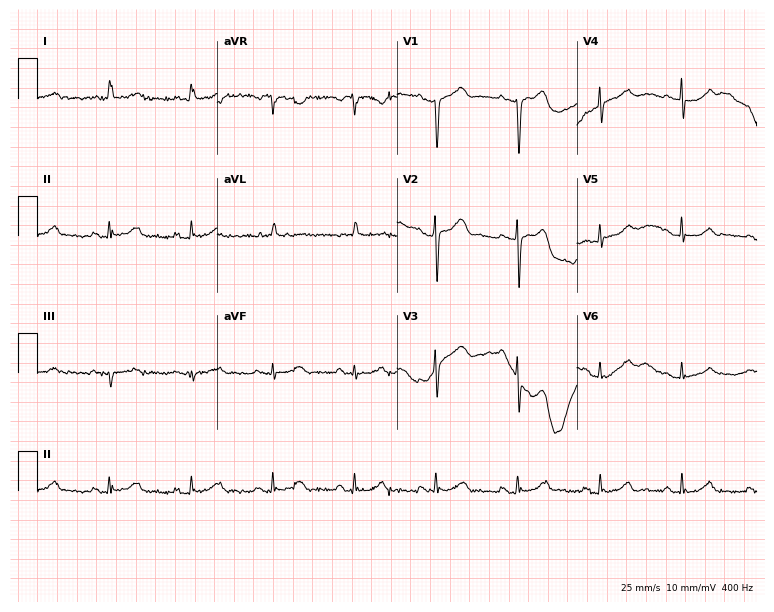
Electrocardiogram (7.3-second recording at 400 Hz), a female patient, 81 years old. Of the six screened findings (first-degree AV block, right bundle branch block, left bundle branch block, sinus bradycardia, atrial fibrillation, sinus tachycardia), none is recorded. Only these six findings were labelled.